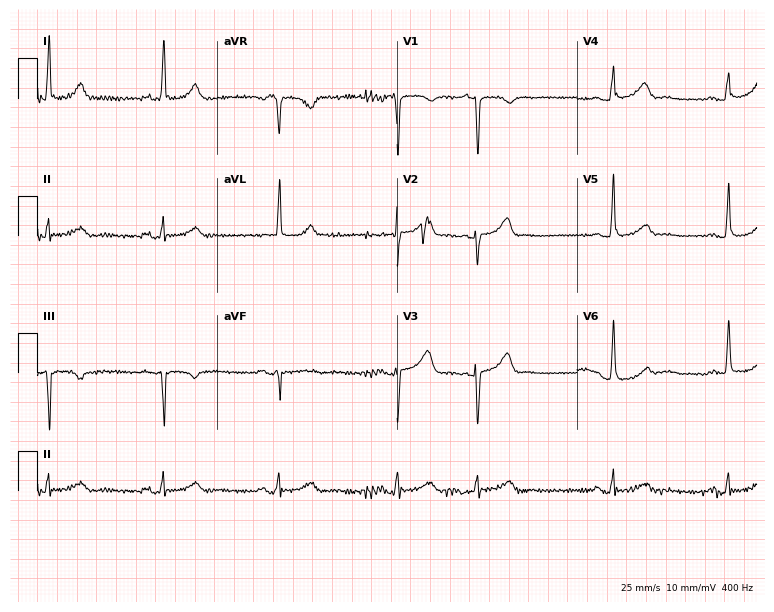
12-lead ECG from a 58-year-old woman. Screened for six findings — first-degree AV block, right bundle branch block, left bundle branch block, sinus bradycardia, atrial fibrillation, sinus tachycardia — none is recorded. Only these six findings were labelled.